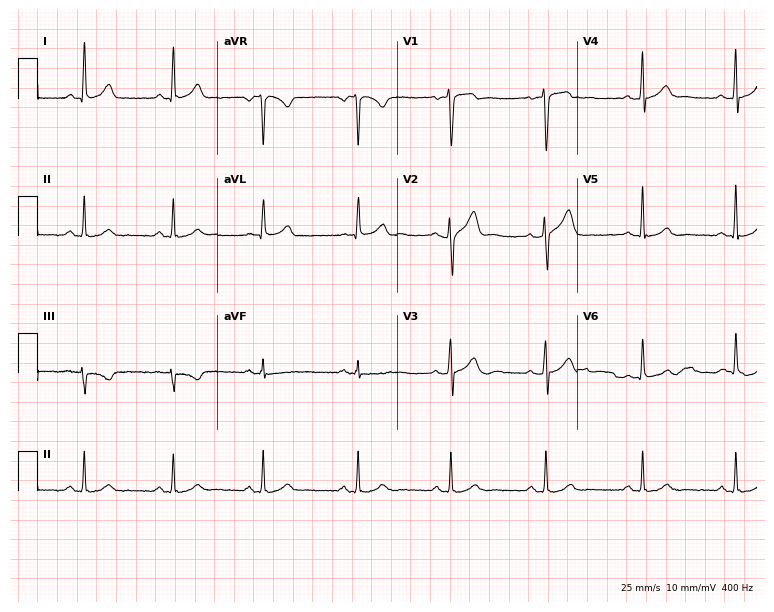
Resting 12-lead electrocardiogram. Patient: a 43-year-old male. None of these six findings is recorded: first-degree AV block, right bundle branch block, left bundle branch block, sinus bradycardia, atrial fibrillation, sinus tachycardia.